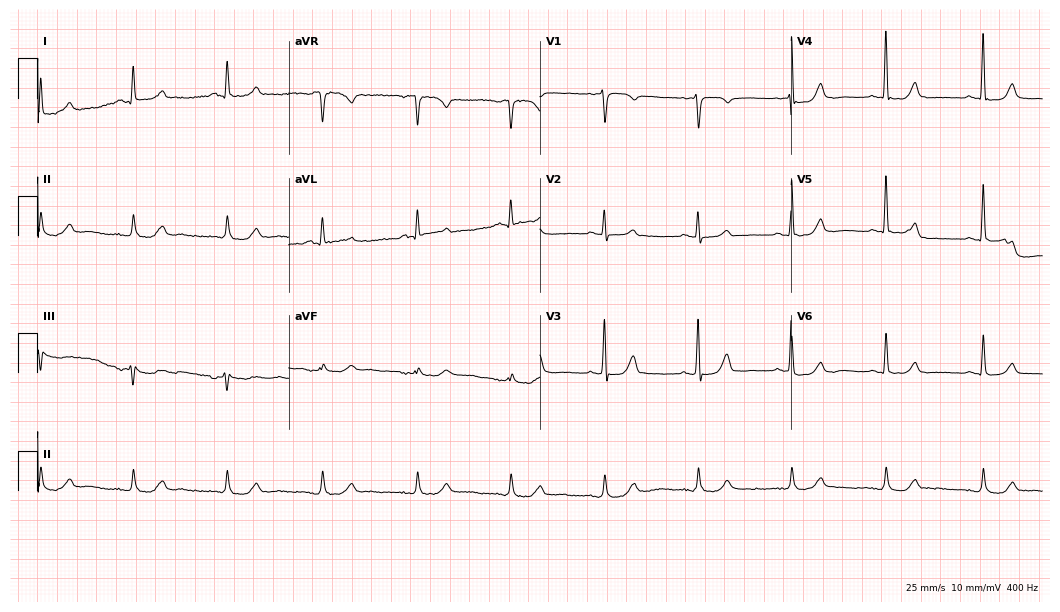
12-lead ECG from a female, 63 years old. Labelled as a normal ECG.